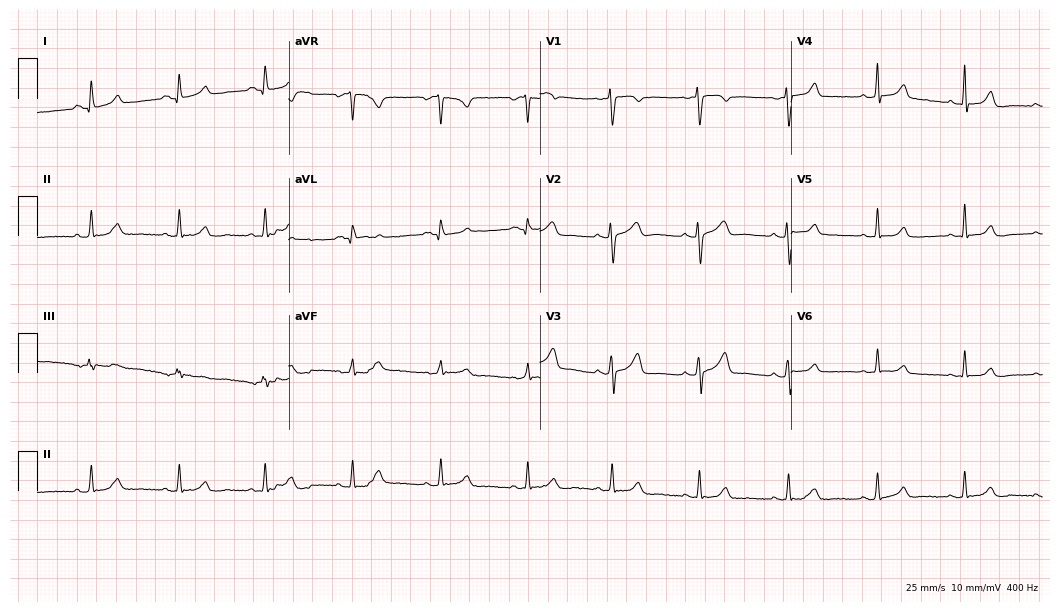
ECG (10.2-second recording at 400 Hz) — a female patient, 36 years old. Labelled as a normal ECG.